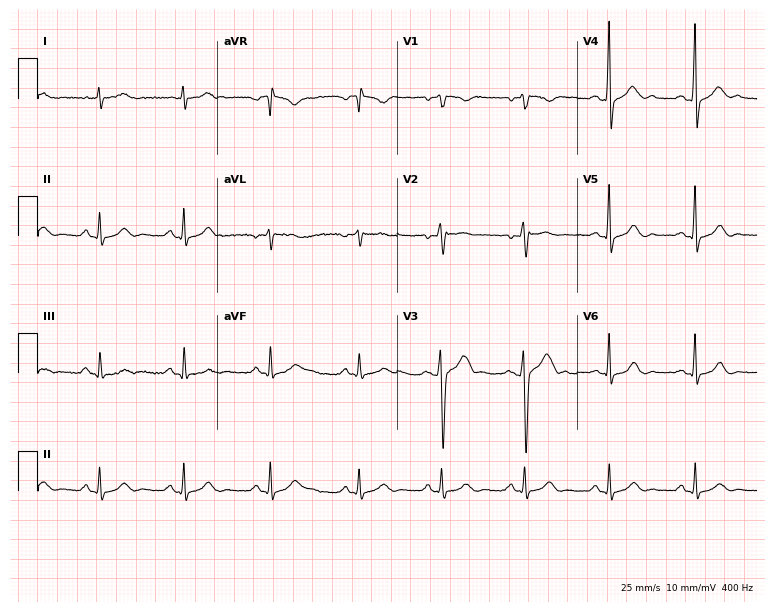
Standard 12-lead ECG recorded from a 37-year-old male (7.3-second recording at 400 Hz). Read as a normal ECG.